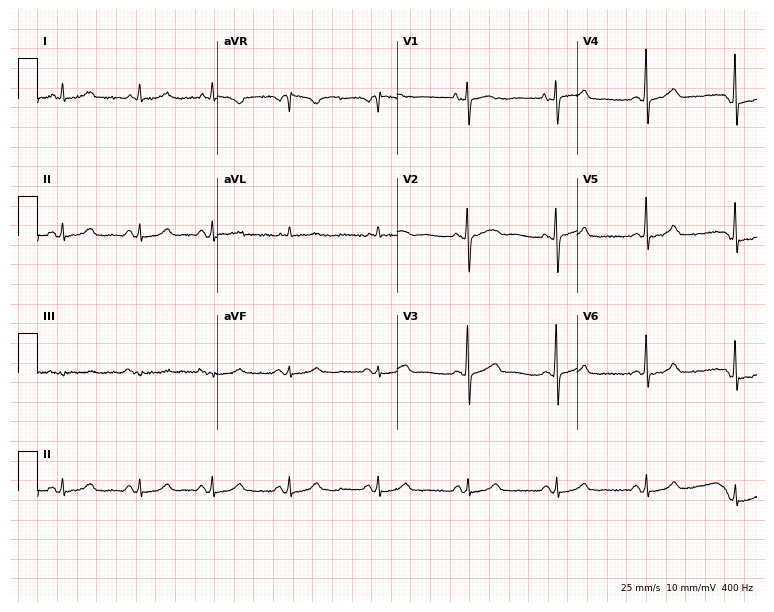
Electrocardiogram (7.3-second recording at 400 Hz), a 71-year-old female patient. Overall reading on record: normal ECG.